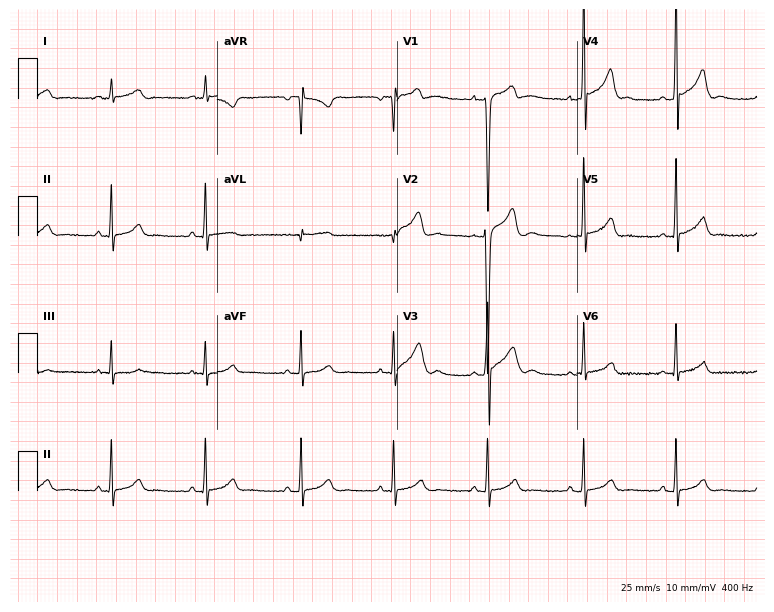
12-lead ECG (7.3-second recording at 400 Hz) from a male, 18 years old. Labelled as a normal ECG.